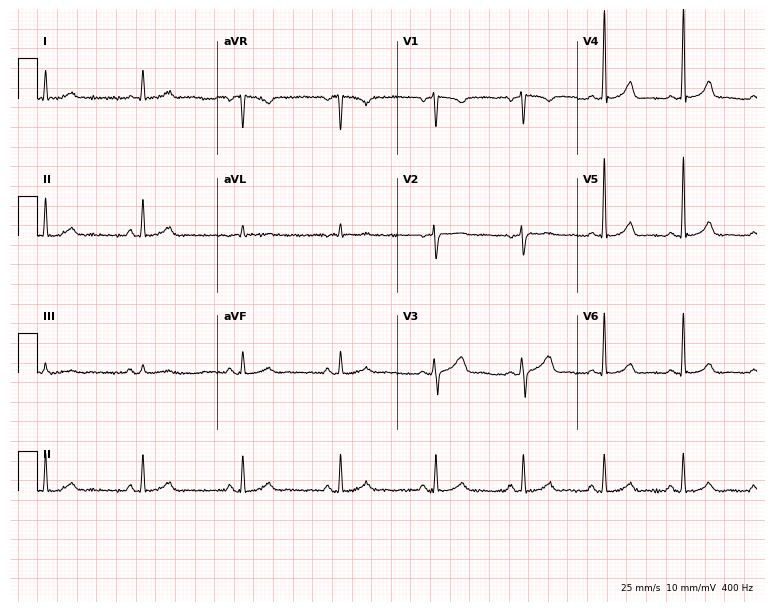
Resting 12-lead electrocardiogram (7.3-second recording at 400 Hz). Patient: a female, 25 years old. Read as a normal ECG.